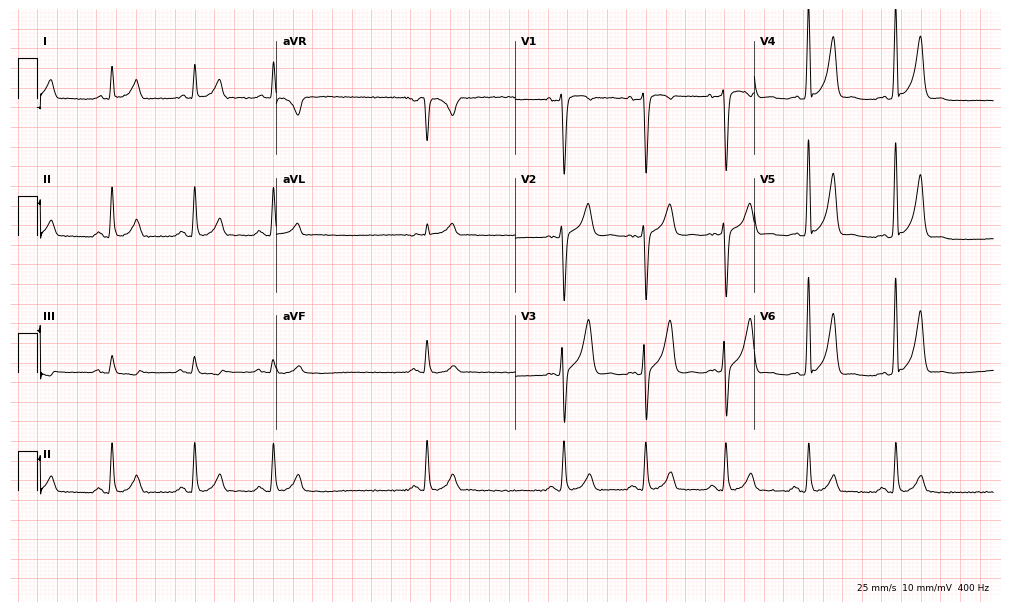
ECG (9.7-second recording at 400 Hz) — a male, 38 years old. Screened for six findings — first-degree AV block, right bundle branch block, left bundle branch block, sinus bradycardia, atrial fibrillation, sinus tachycardia — none is recorded.